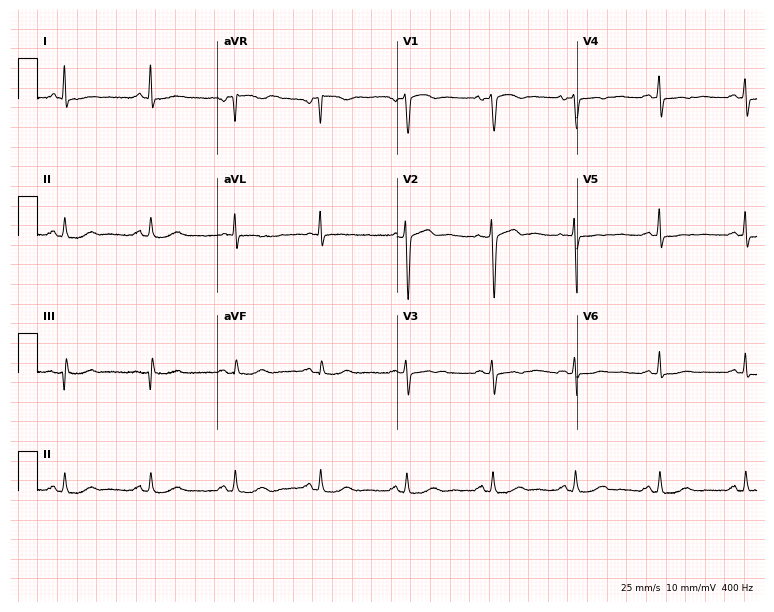
ECG (7.3-second recording at 400 Hz) — a female, 47 years old. Screened for six findings — first-degree AV block, right bundle branch block (RBBB), left bundle branch block (LBBB), sinus bradycardia, atrial fibrillation (AF), sinus tachycardia — none is recorded. Only these six findings were labelled.